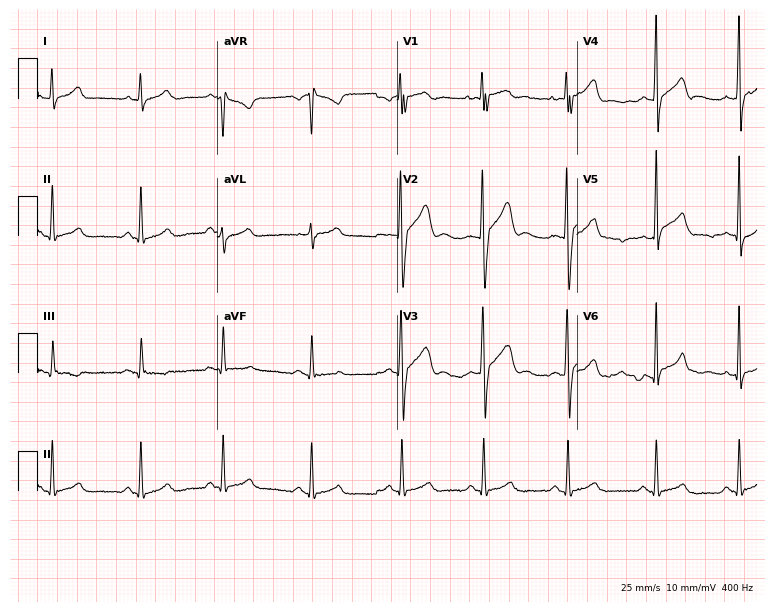
12-lead ECG (7.3-second recording at 400 Hz) from a 27-year-old man. Labelled as a normal ECG.